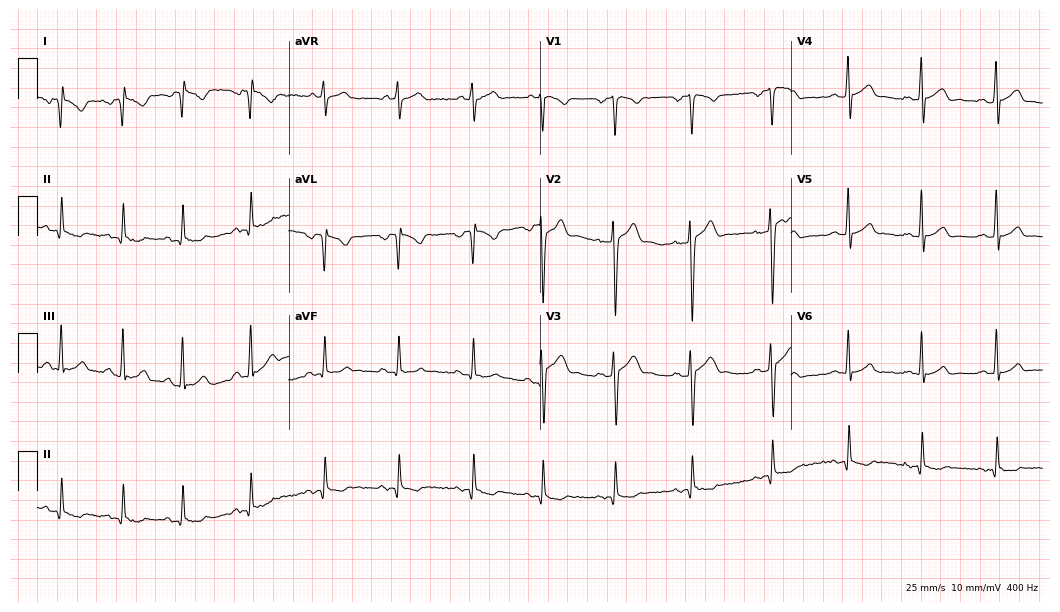
Resting 12-lead electrocardiogram (10.2-second recording at 400 Hz). Patient: a 21-year-old male. None of these six findings is recorded: first-degree AV block, right bundle branch block (RBBB), left bundle branch block (LBBB), sinus bradycardia, atrial fibrillation (AF), sinus tachycardia. Other findings, if any, are not listed.